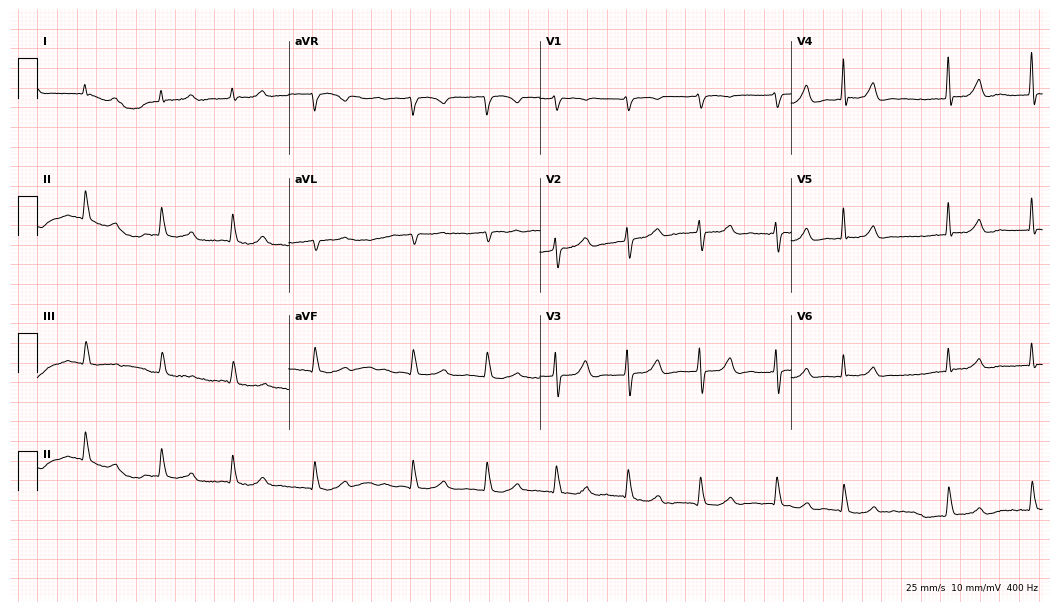
Electrocardiogram (10.2-second recording at 400 Hz), a 68-year-old female. Of the six screened findings (first-degree AV block, right bundle branch block, left bundle branch block, sinus bradycardia, atrial fibrillation, sinus tachycardia), none is recorded.